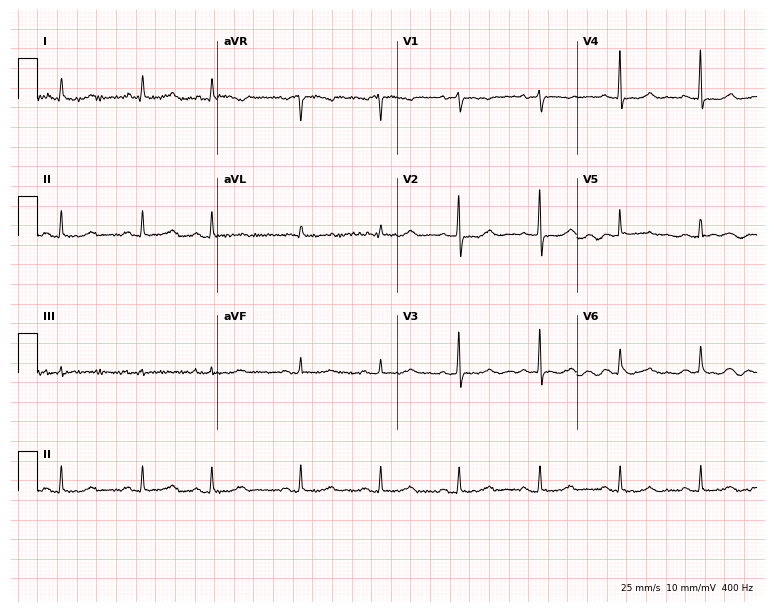
12-lead ECG from an 85-year-old female patient (7.3-second recording at 400 Hz). No first-degree AV block, right bundle branch block (RBBB), left bundle branch block (LBBB), sinus bradycardia, atrial fibrillation (AF) or sinus tachycardia recorded for this tracing. Only these six findings were labelled.